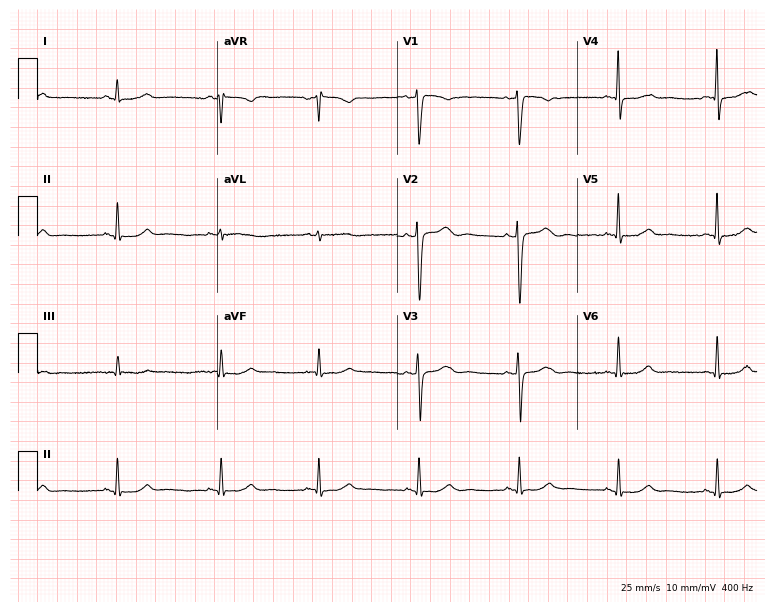
Resting 12-lead electrocardiogram (7.3-second recording at 400 Hz). Patient: a woman, 51 years old. Read as a normal ECG.